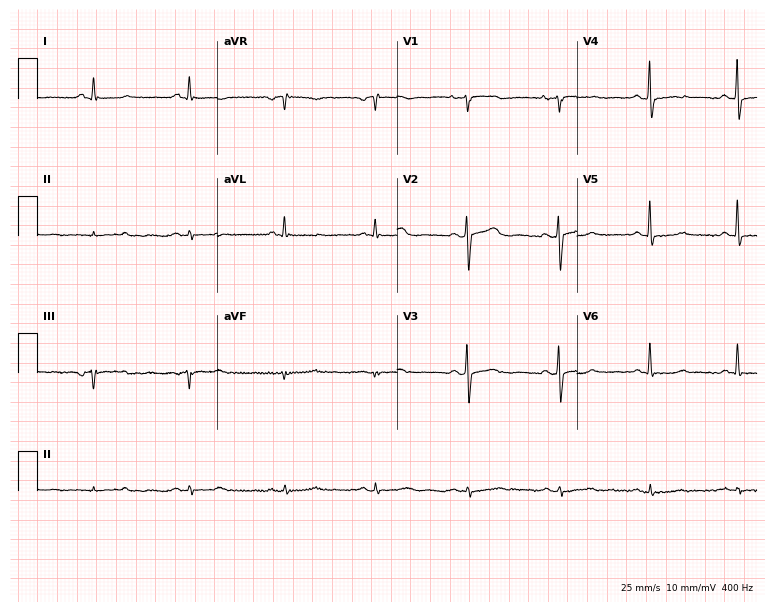
12-lead ECG from a 54-year-old female (7.3-second recording at 400 Hz). No first-degree AV block, right bundle branch block, left bundle branch block, sinus bradycardia, atrial fibrillation or sinus tachycardia recorded for this tracing. Findings outside these six are not listed.